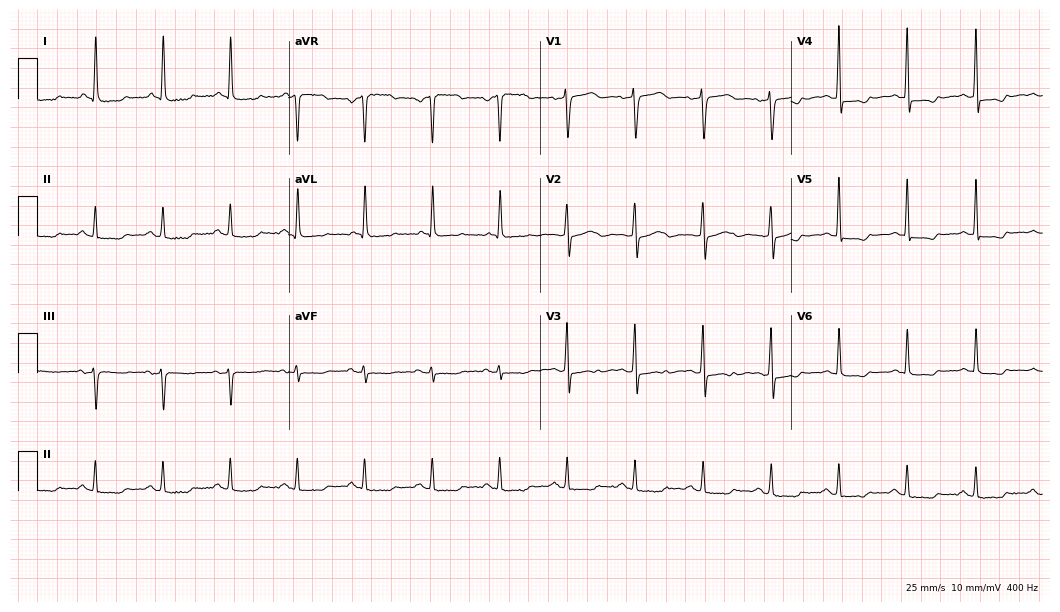
12-lead ECG (10.2-second recording at 400 Hz) from a 75-year-old female. Screened for six findings — first-degree AV block, right bundle branch block, left bundle branch block, sinus bradycardia, atrial fibrillation, sinus tachycardia — none is recorded.